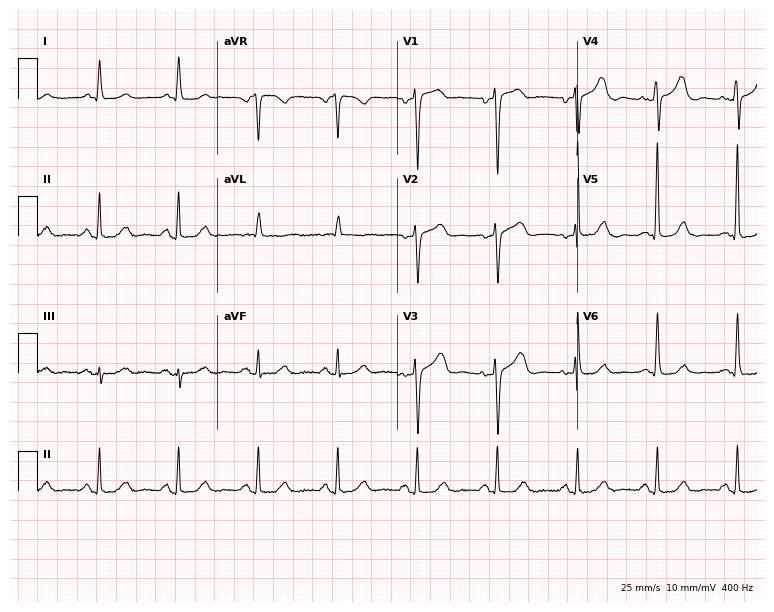
Resting 12-lead electrocardiogram. Patient: a 71-year-old woman. None of these six findings is recorded: first-degree AV block, right bundle branch block (RBBB), left bundle branch block (LBBB), sinus bradycardia, atrial fibrillation (AF), sinus tachycardia.